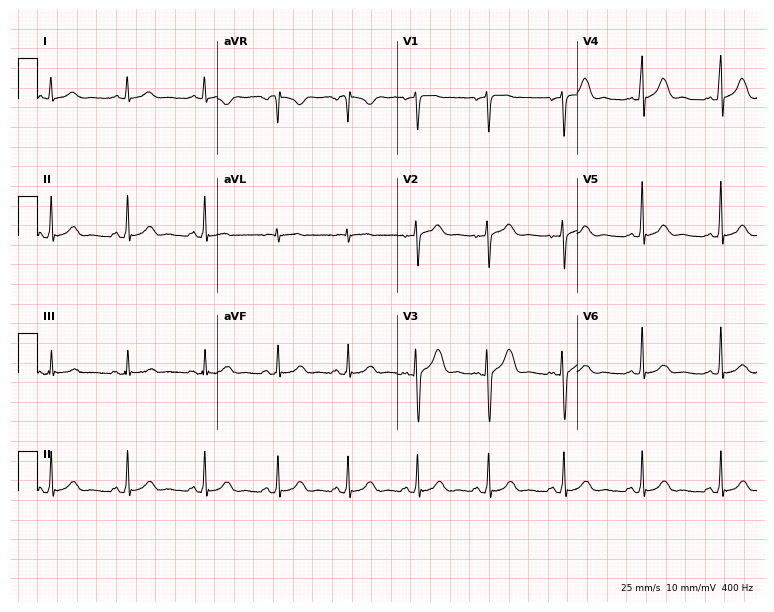
Resting 12-lead electrocardiogram (7.3-second recording at 400 Hz). Patient: a 39-year-old female. Read as a normal ECG.